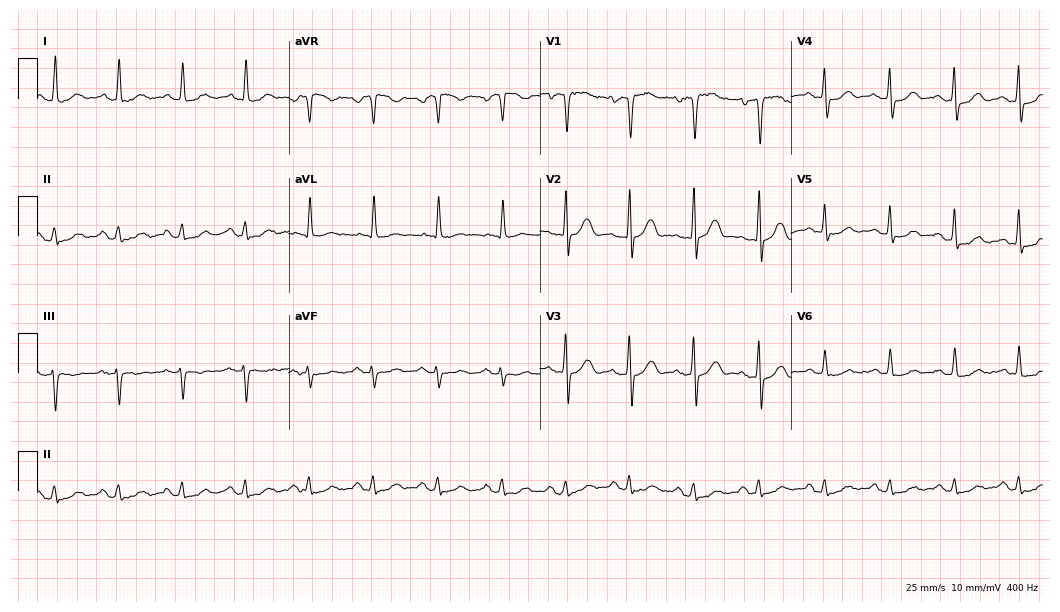
Standard 12-lead ECG recorded from a 71-year-old male patient. Read as a normal ECG.